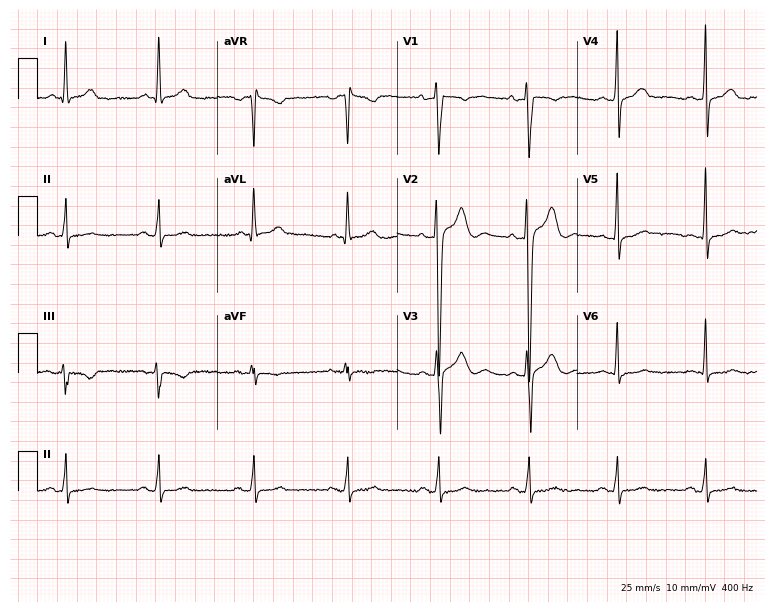
12-lead ECG from a male patient, 44 years old (7.3-second recording at 400 Hz). No first-degree AV block, right bundle branch block (RBBB), left bundle branch block (LBBB), sinus bradycardia, atrial fibrillation (AF) or sinus tachycardia recorded for this tracing. Only these six findings were labelled.